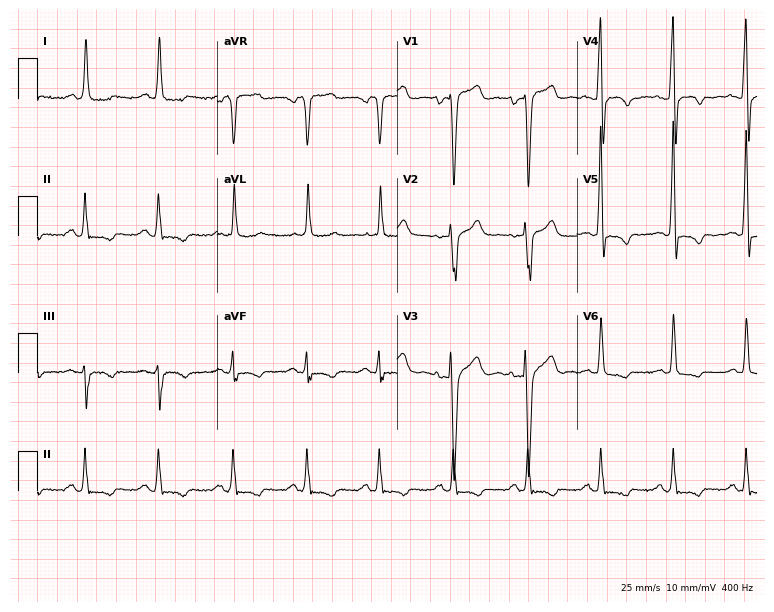
12-lead ECG from a female patient, 81 years old (7.3-second recording at 400 Hz). No first-degree AV block, right bundle branch block (RBBB), left bundle branch block (LBBB), sinus bradycardia, atrial fibrillation (AF) or sinus tachycardia recorded for this tracing.